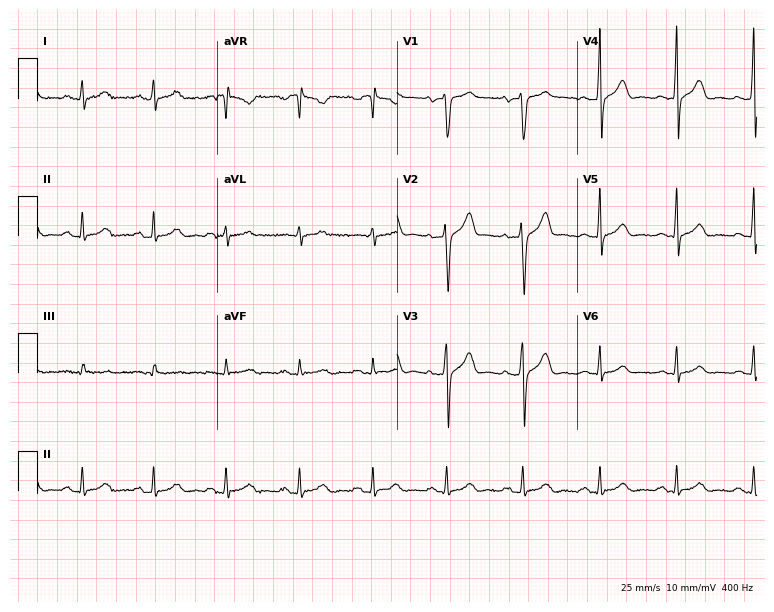
Resting 12-lead electrocardiogram. Patient: a man, 52 years old. Read as a normal ECG.